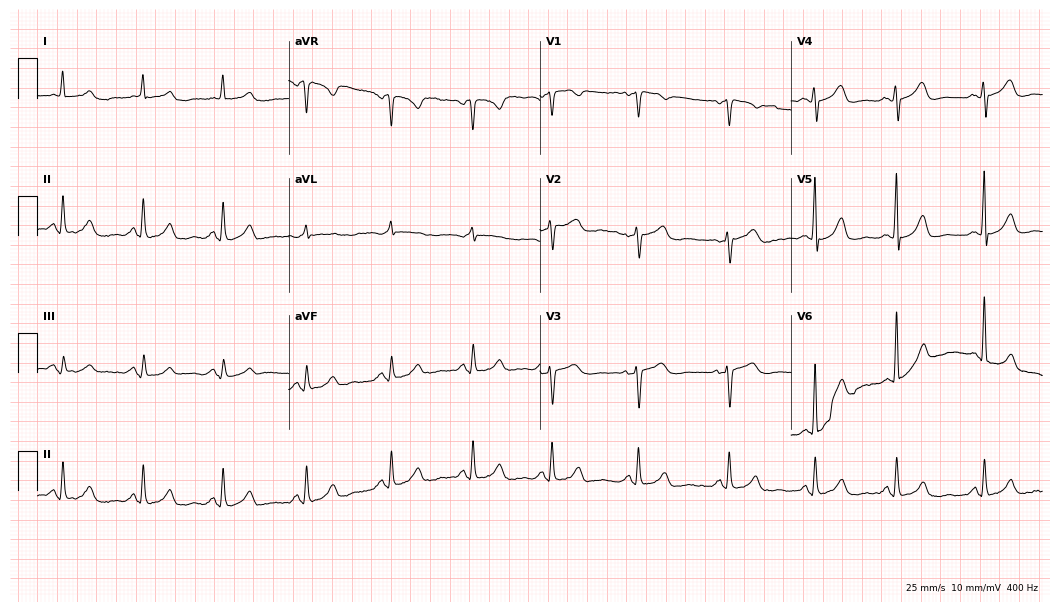
ECG — a 66-year-old female patient. Labelled as a normal ECG.